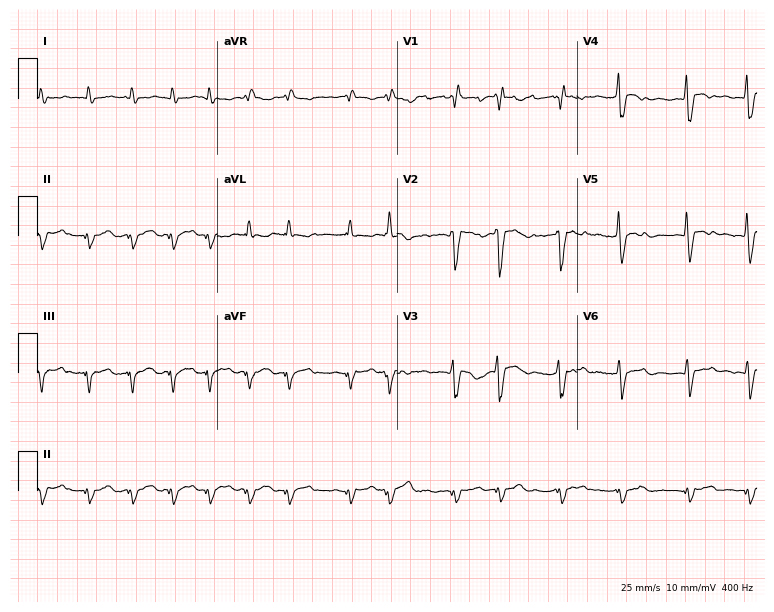
ECG (7.3-second recording at 400 Hz) — a 43-year-old man. Findings include atrial fibrillation.